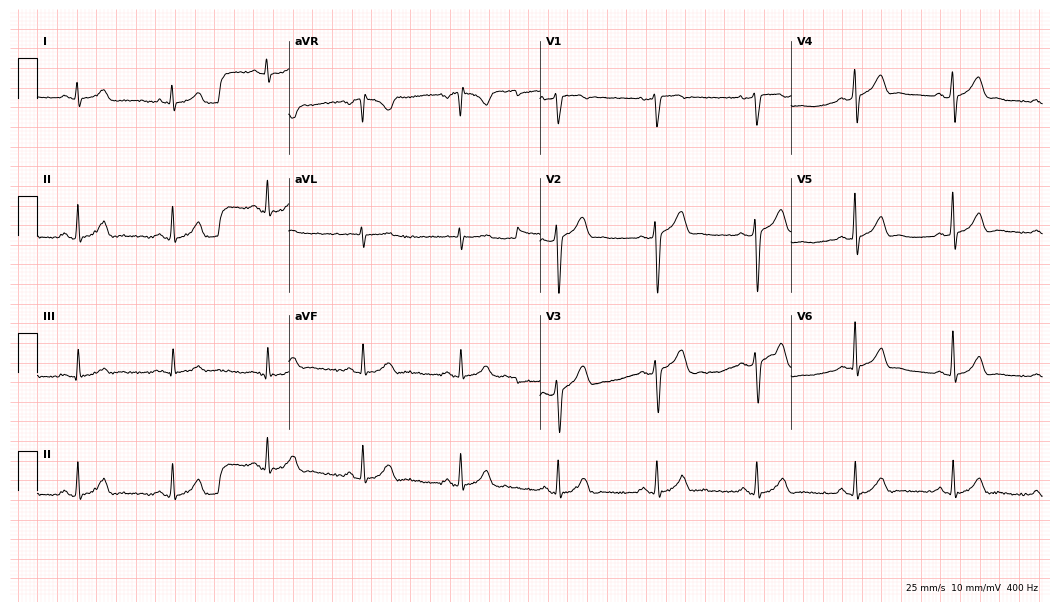
Electrocardiogram, a male patient, 46 years old. Overall reading on record: normal ECG.